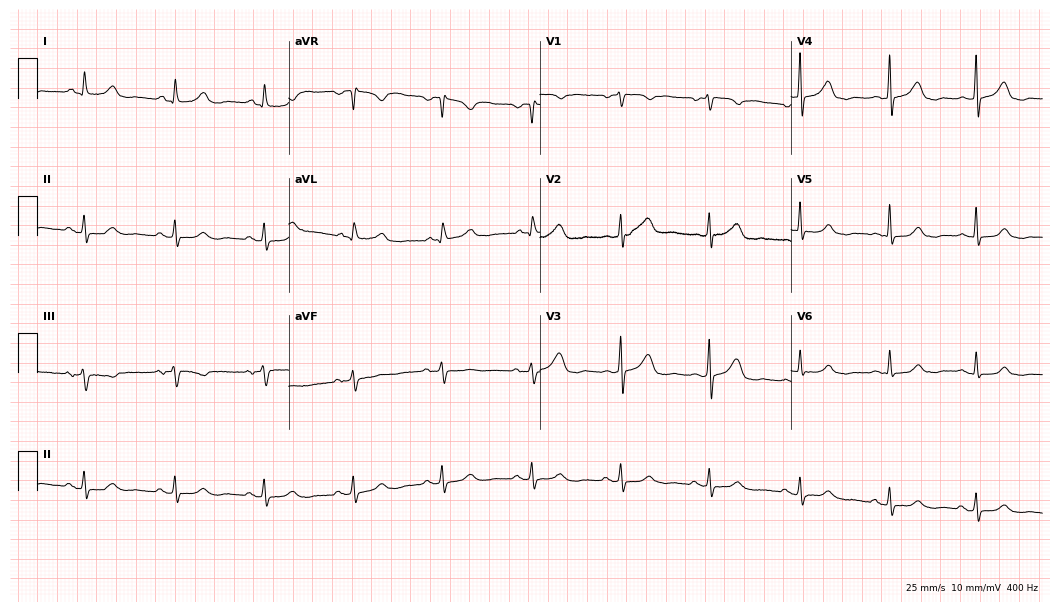
12-lead ECG from a 56-year-old woman. Labelled as a normal ECG.